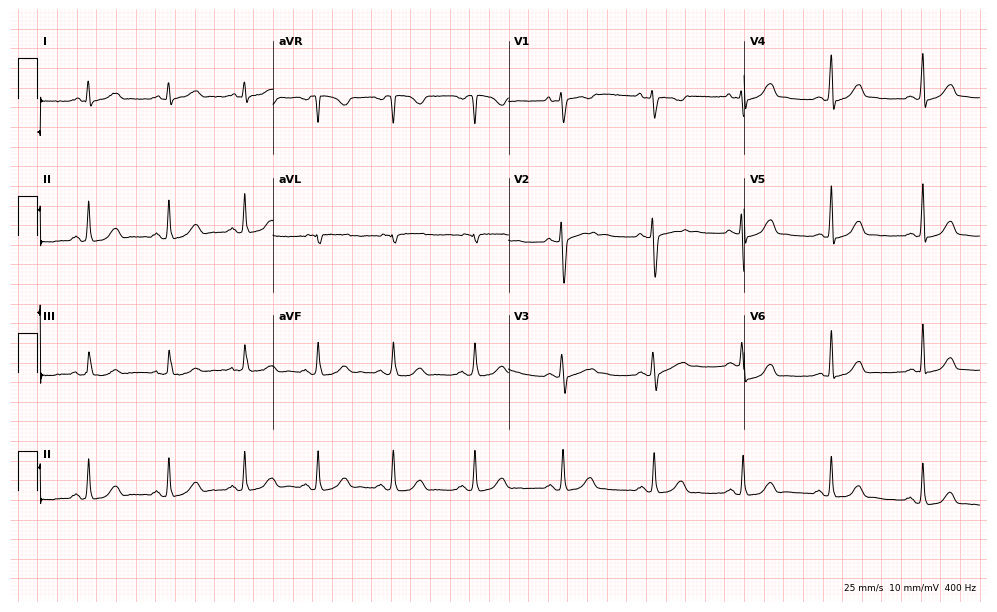
Resting 12-lead electrocardiogram. Patient: a 24-year-old female. None of these six findings is recorded: first-degree AV block, right bundle branch block, left bundle branch block, sinus bradycardia, atrial fibrillation, sinus tachycardia. Other findings, if any, are not listed.